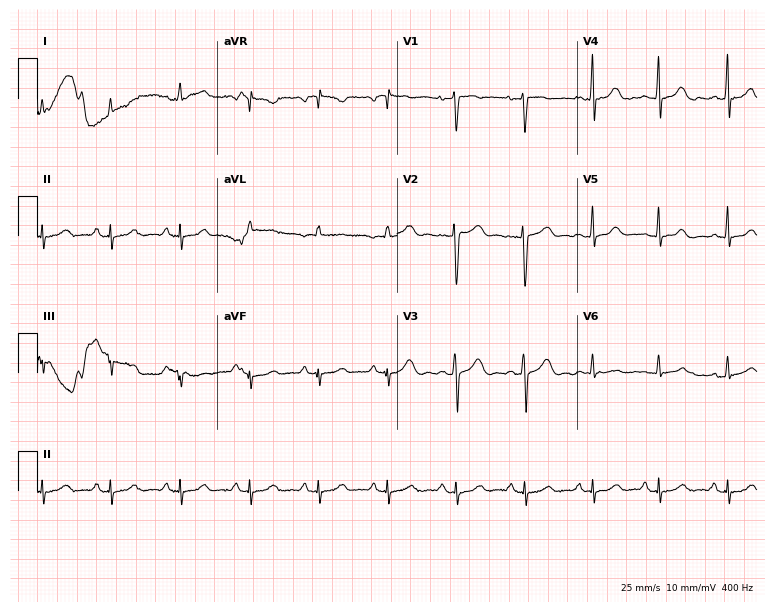
12-lead ECG (7.3-second recording at 400 Hz) from a woman, 42 years old. Screened for six findings — first-degree AV block, right bundle branch block, left bundle branch block, sinus bradycardia, atrial fibrillation, sinus tachycardia — none is recorded. Only these six findings were labelled.